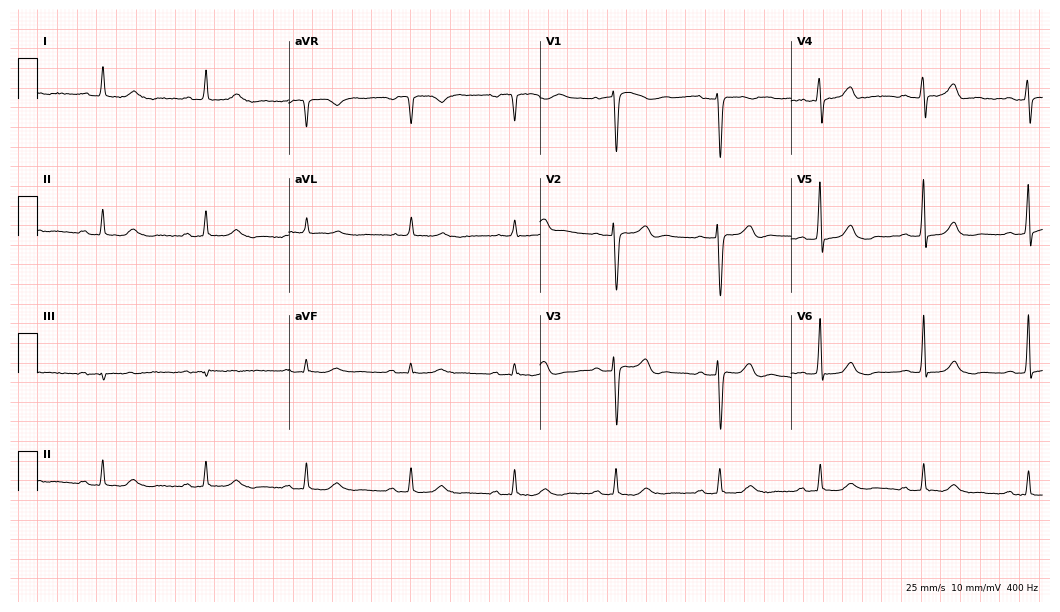
Electrocardiogram, a 26-year-old man. Overall reading on record: normal ECG.